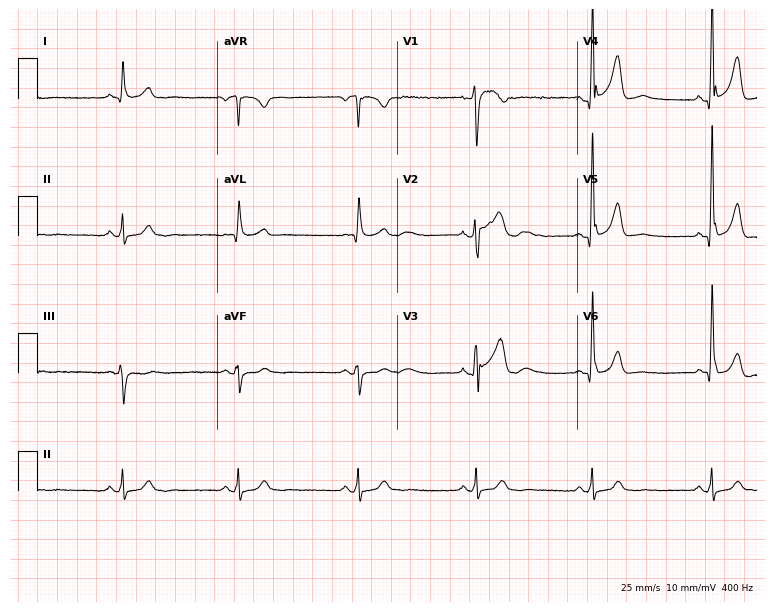
Standard 12-lead ECG recorded from a male, 63 years old. The tracing shows sinus bradycardia (a sinus rate of 50 beats per minute or less).